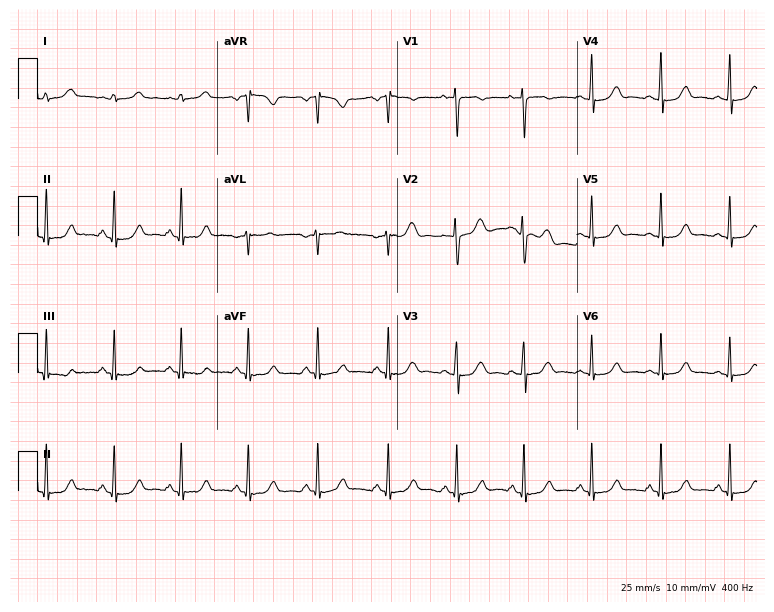
12-lead ECG from a 23-year-old woman. Labelled as a normal ECG.